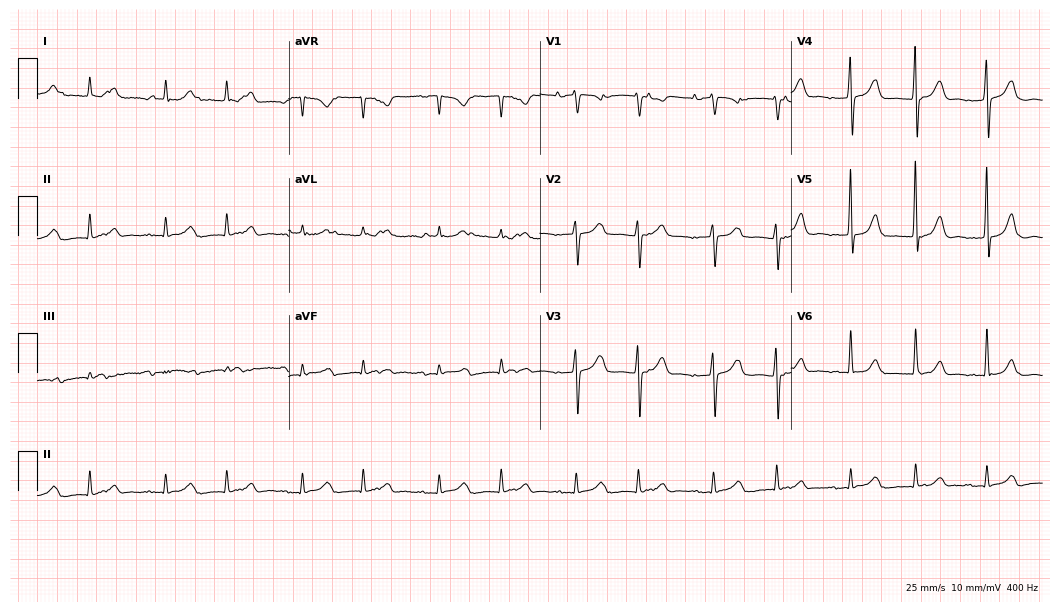
Resting 12-lead electrocardiogram (10.2-second recording at 400 Hz). Patient: a 71-year-old woman. Read as a normal ECG.